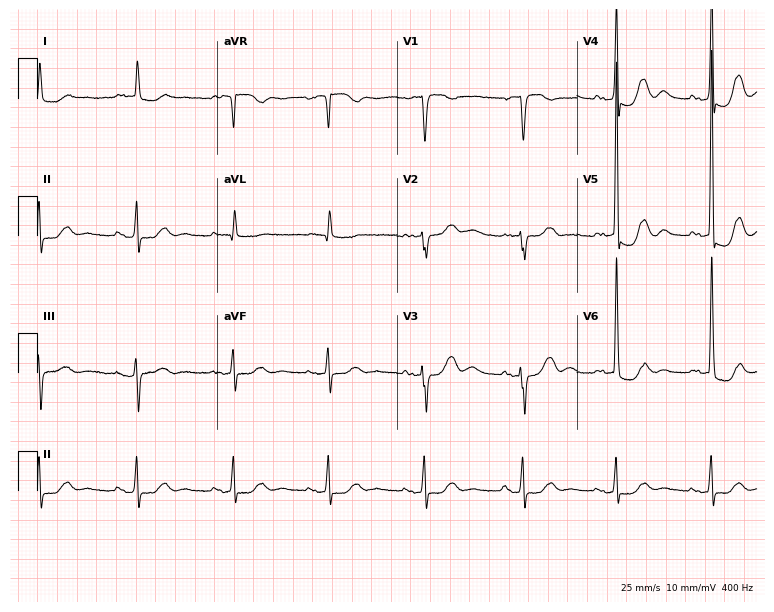
12-lead ECG from a female patient, 76 years old (7.3-second recording at 400 Hz). No first-degree AV block, right bundle branch block, left bundle branch block, sinus bradycardia, atrial fibrillation or sinus tachycardia recorded for this tracing. Other findings, if any, are not listed.